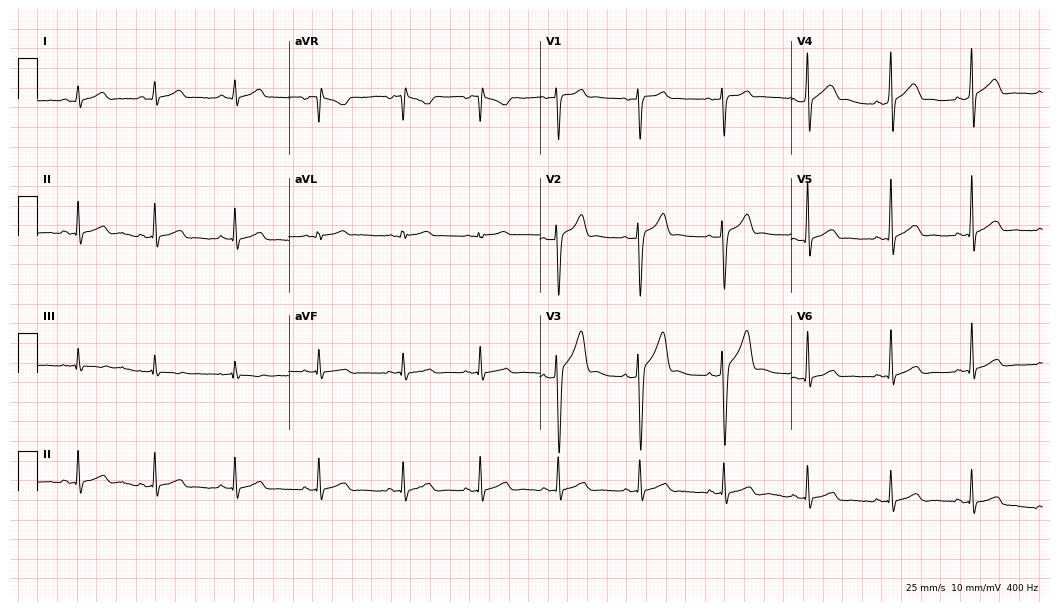
Resting 12-lead electrocardiogram. Patient: a 19-year-old man. Read as a normal ECG.